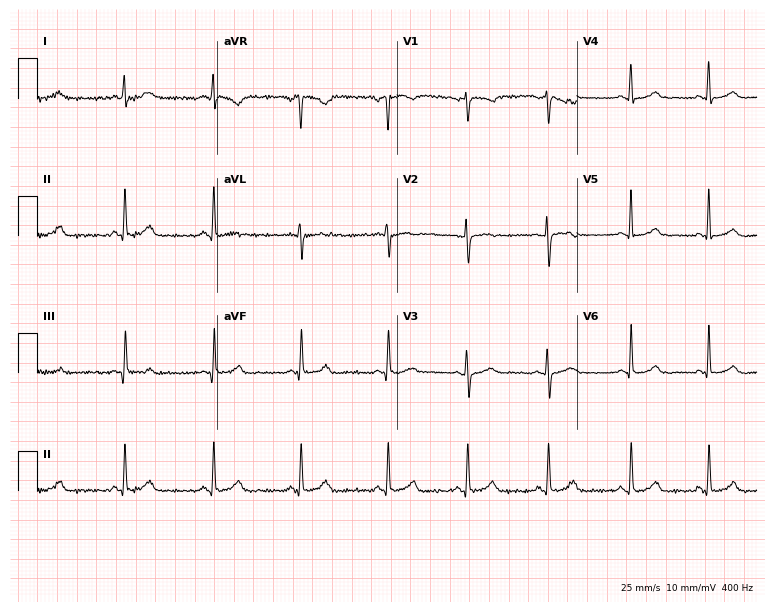
Resting 12-lead electrocardiogram. Patient: a female, 36 years old. None of these six findings is recorded: first-degree AV block, right bundle branch block, left bundle branch block, sinus bradycardia, atrial fibrillation, sinus tachycardia. Findings outside these six are not listed.